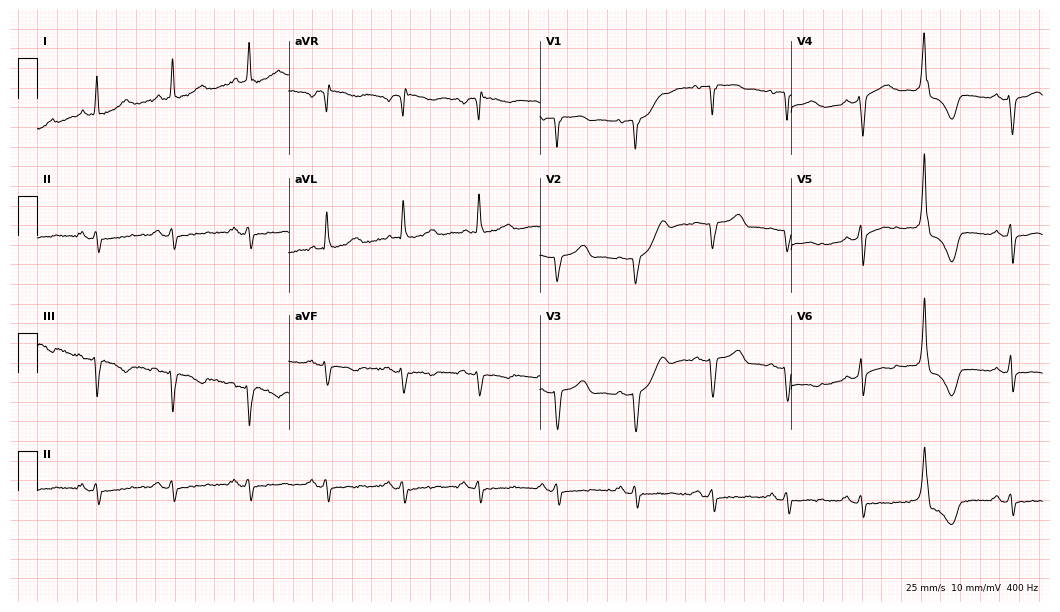
12-lead ECG (10.2-second recording at 400 Hz) from a 71-year-old woman. Screened for six findings — first-degree AV block, right bundle branch block (RBBB), left bundle branch block (LBBB), sinus bradycardia, atrial fibrillation (AF), sinus tachycardia — none is recorded. Only these six findings were labelled.